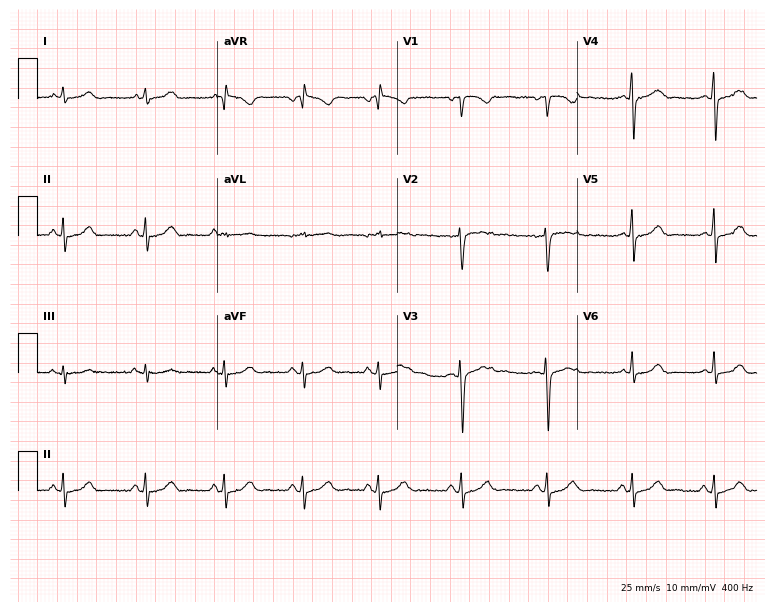
12-lead ECG from a female, 29 years old. Recorded interpretation: within normal limits.